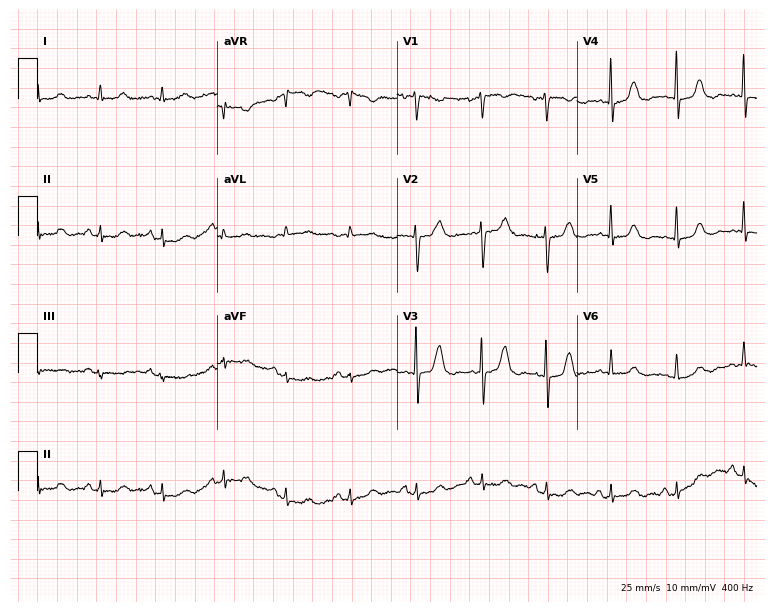
Resting 12-lead electrocardiogram. Patient: a 56-year-old woman. None of these six findings is recorded: first-degree AV block, right bundle branch block, left bundle branch block, sinus bradycardia, atrial fibrillation, sinus tachycardia. Other findings, if any, are not listed.